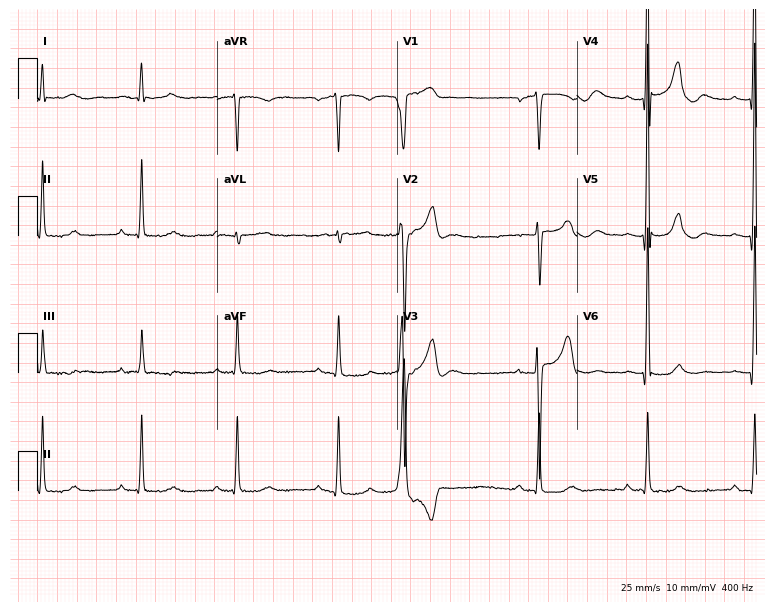
Electrocardiogram, a male patient, 86 years old. Interpretation includes first-degree AV block.